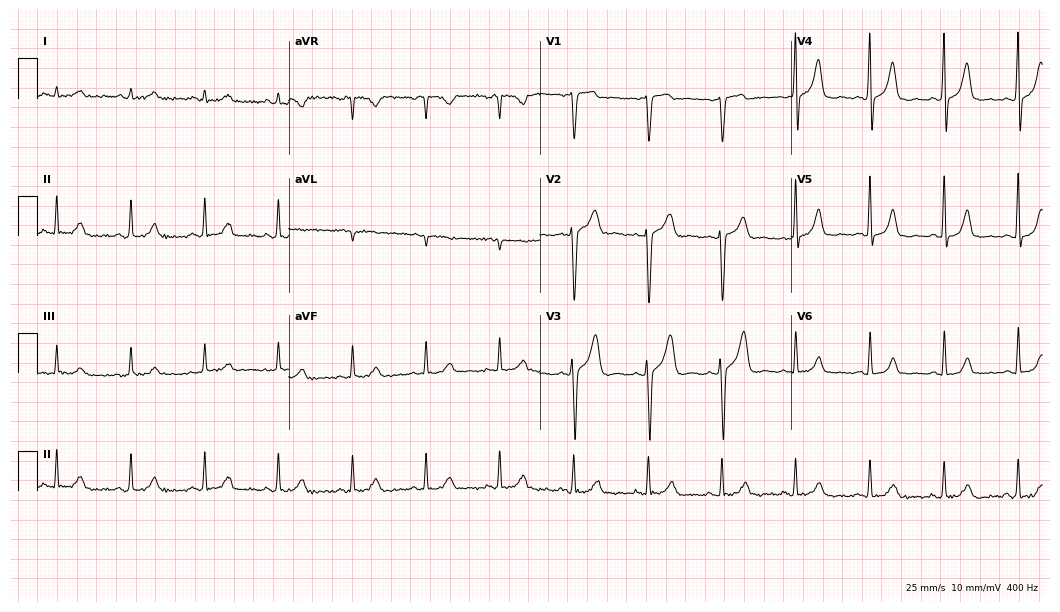
12-lead ECG from a male, 40 years old (10.2-second recording at 400 Hz). No first-degree AV block, right bundle branch block (RBBB), left bundle branch block (LBBB), sinus bradycardia, atrial fibrillation (AF) or sinus tachycardia recorded for this tracing.